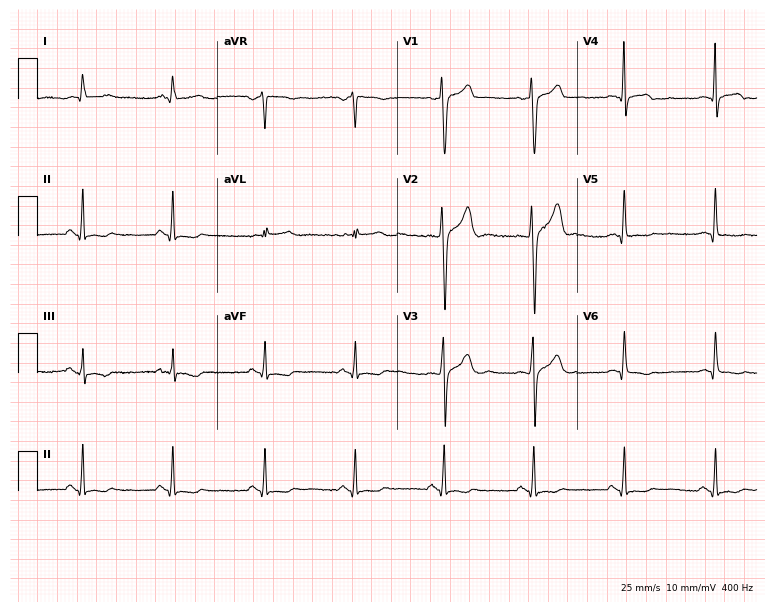
12-lead ECG from a 39-year-old man. No first-degree AV block, right bundle branch block, left bundle branch block, sinus bradycardia, atrial fibrillation or sinus tachycardia recorded for this tracing. Findings outside these six are not listed.